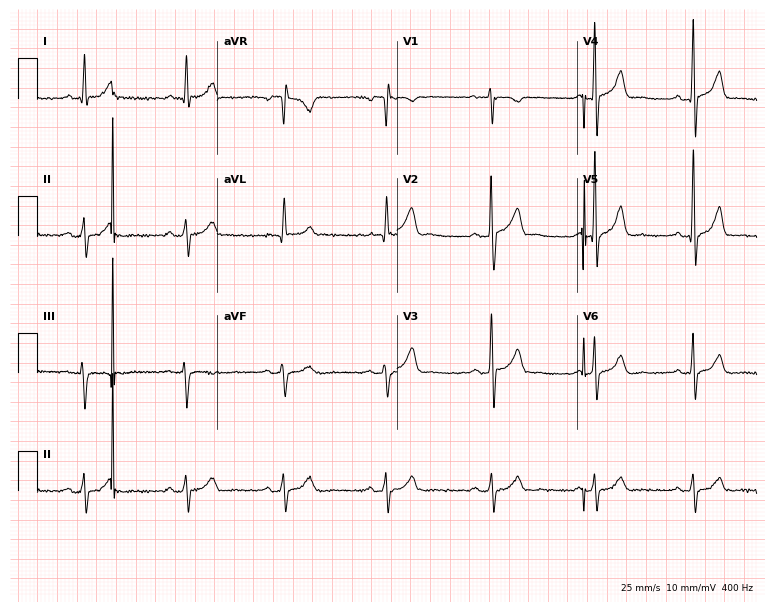
Resting 12-lead electrocardiogram (7.3-second recording at 400 Hz). Patient: a 47-year-old male. None of these six findings is recorded: first-degree AV block, right bundle branch block, left bundle branch block, sinus bradycardia, atrial fibrillation, sinus tachycardia.